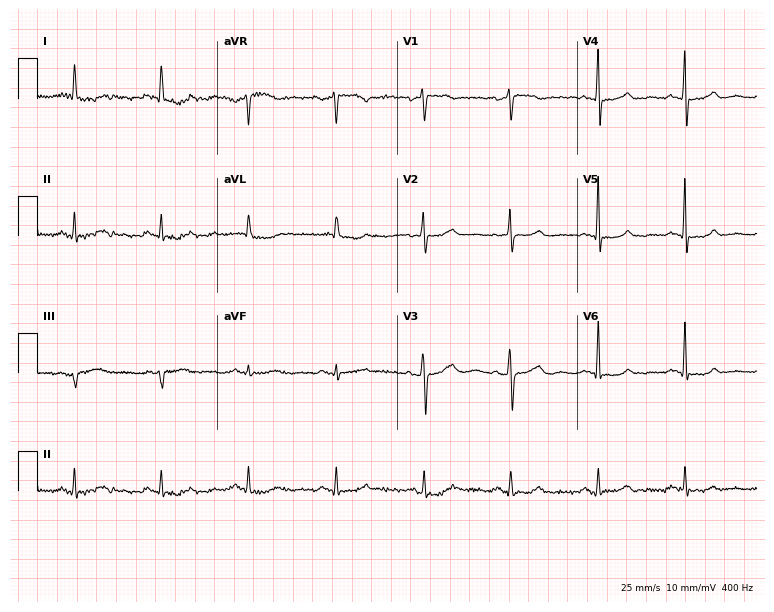
Standard 12-lead ECG recorded from a 63-year-old woman (7.3-second recording at 400 Hz). None of these six findings is recorded: first-degree AV block, right bundle branch block, left bundle branch block, sinus bradycardia, atrial fibrillation, sinus tachycardia. Only these six findings were labelled.